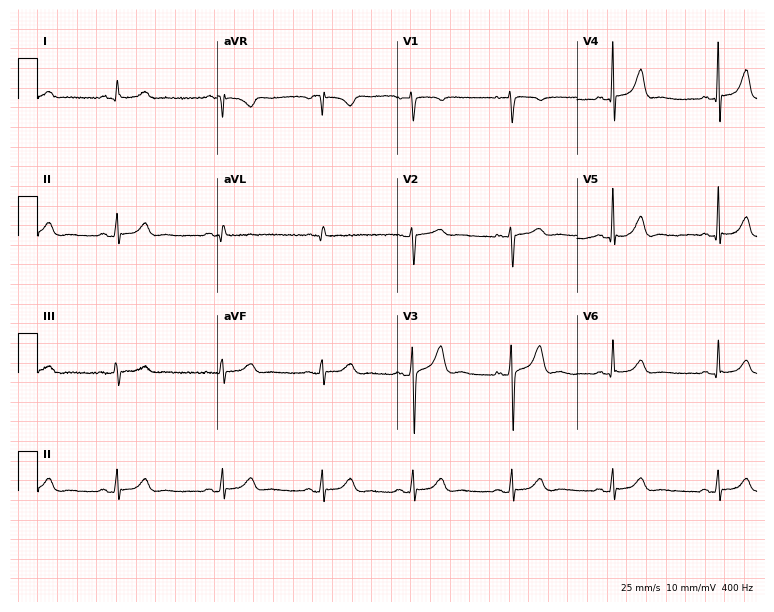
Electrocardiogram (7.3-second recording at 400 Hz), a 35-year-old female. Of the six screened findings (first-degree AV block, right bundle branch block, left bundle branch block, sinus bradycardia, atrial fibrillation, sinus tachycardia), none is recorded.